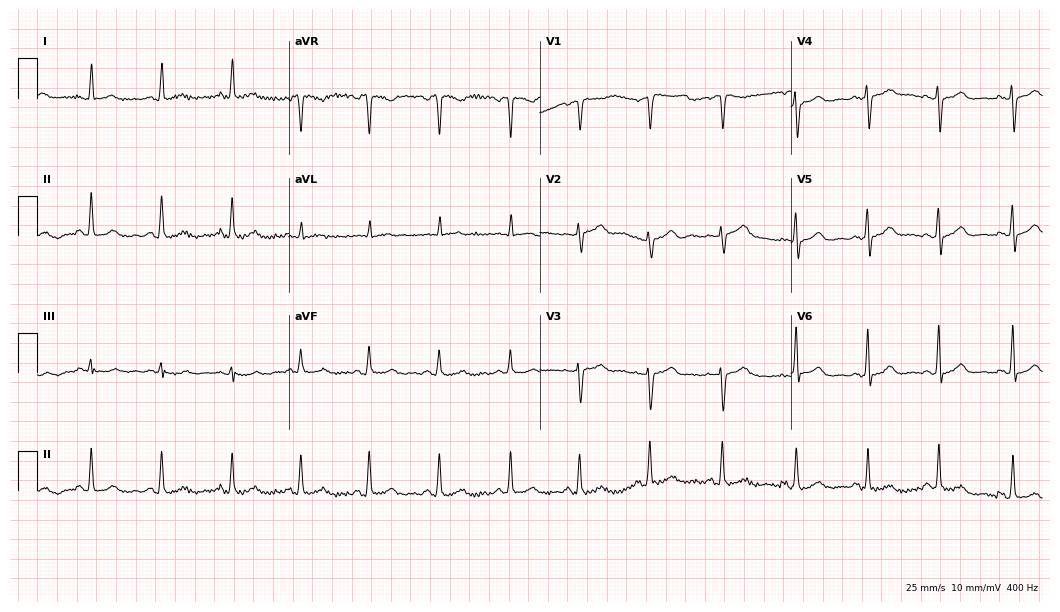
ECG (10.2-second recording at 400 Hz) — a female patient, 58 years old. Labelled as a normal ECG.